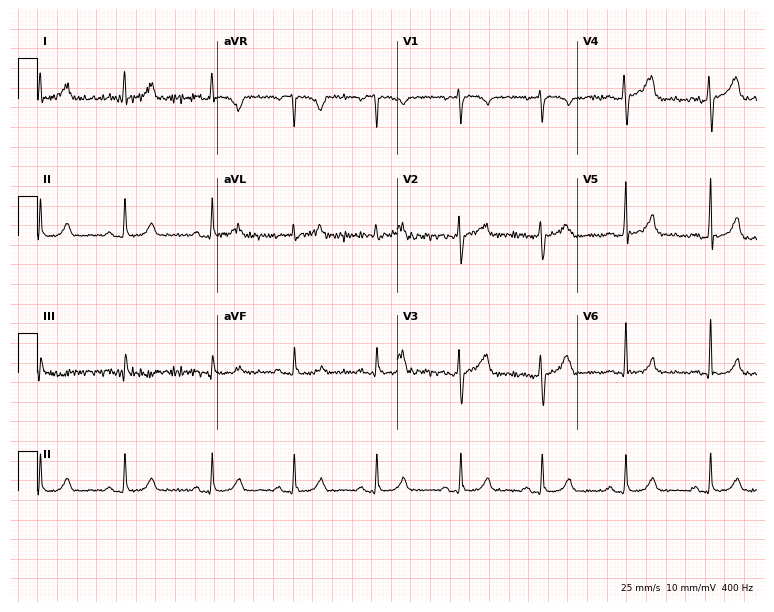
Electrocardiogram (7.3-second recording at 400 Hz), a female, 29 years old. Overall reading on record: normal ECG.